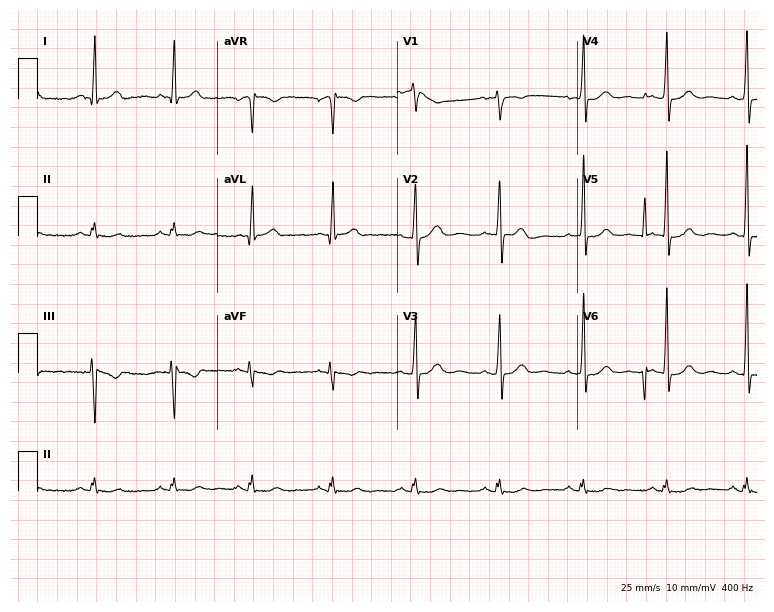
12-lead ECG from a female patient, 53 years old. No first-degree AV block, right bundle branch block, left bundle branch block, sinus bradycardia, atrial fibrillation or sinus tachycardia recorded for this tracing. Other findings, if any, are not listed.